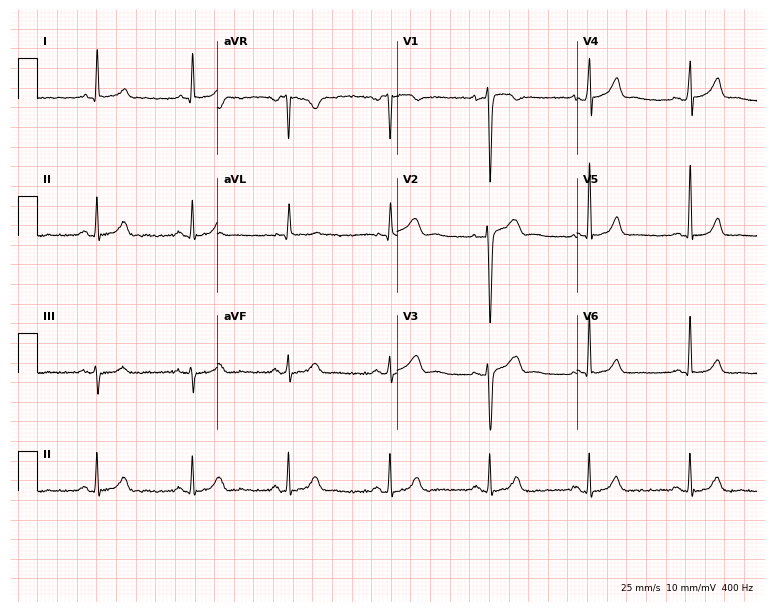
Electrocardiogram (7.3-second recording at 400 Hz), a male patient, 29 years old. Overall reading on record: normal ECG.